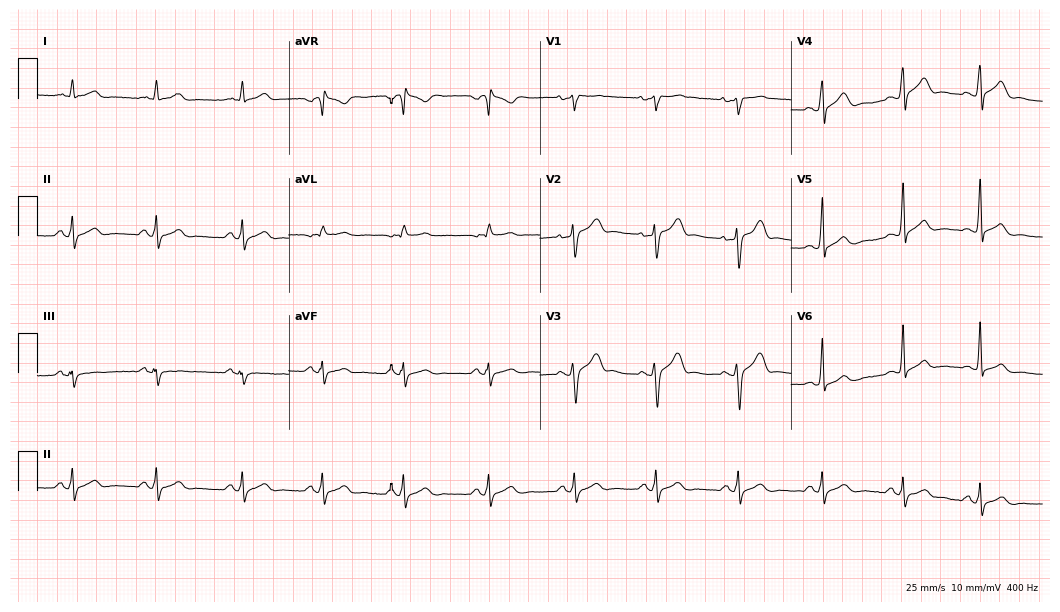
Resting 12-lead electrocardiogram. Patient: a 31-year-old male. Read as a normal ECG.